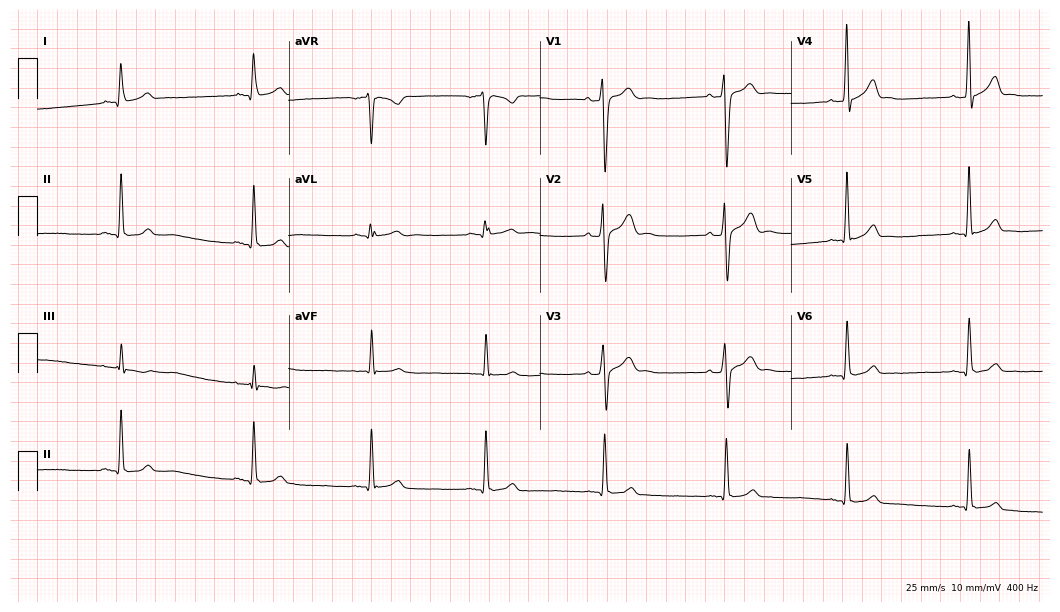
12-lead ECG from a male, 21 years old. Findings include sinus bradycardia (a sinus rate of 50 beats per minute or less).